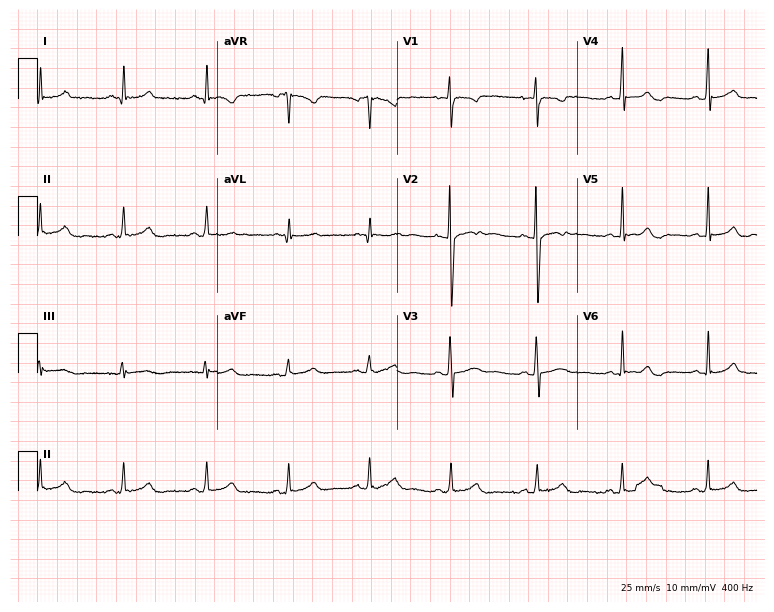
12-lead ECG from a female patient, 27 years old. Recorded interpretation: within normal limits.